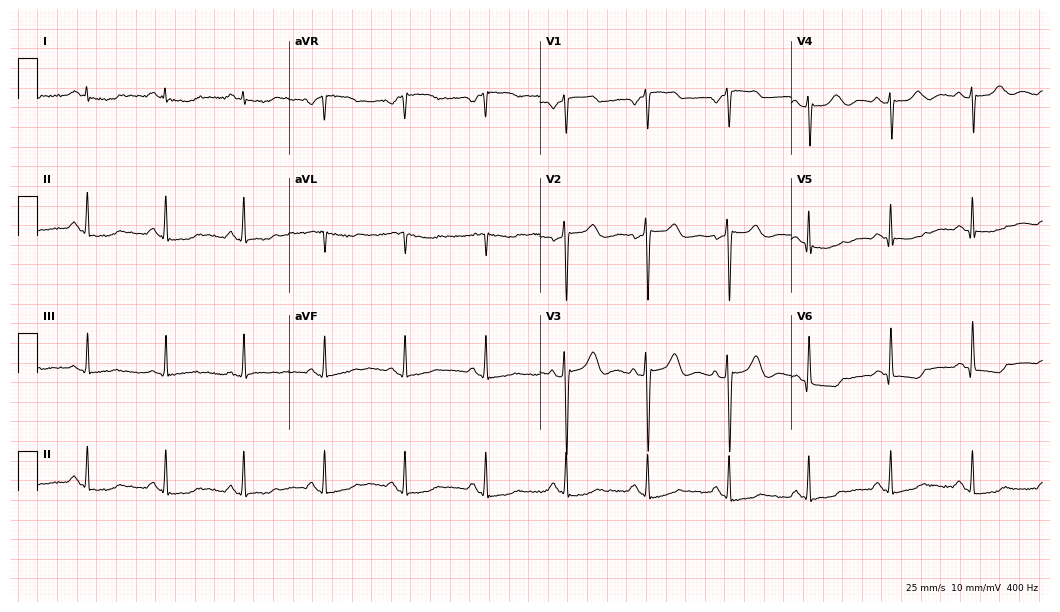
Standard 12-lead ECG recorded from a 46-year-old female patient. None of these six findings is recorded: first-degree AV block, right bundle branch block, left bundle branch block, sinus bradycardia, atrial fibrillation, sinus tachycardia.